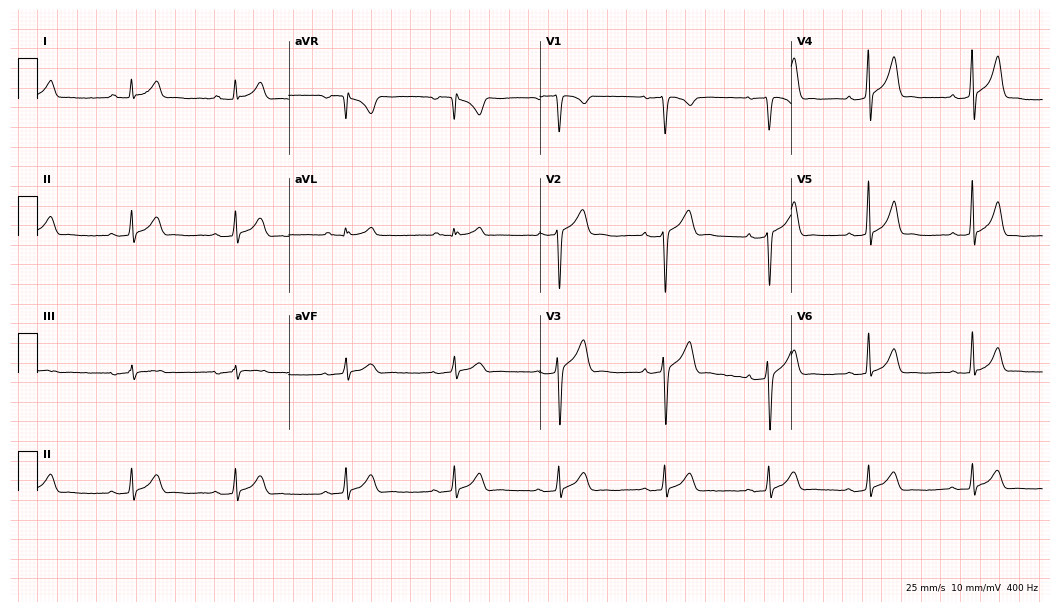
ECG — a 37-year-old man. Screened for six findings — first-degree AV block, right bundle branch block (RBBB), left bundle branch block (LBBB), sinus bradycardia, atrial fibrillation (AF), sinus tachycardia — none is recorded.